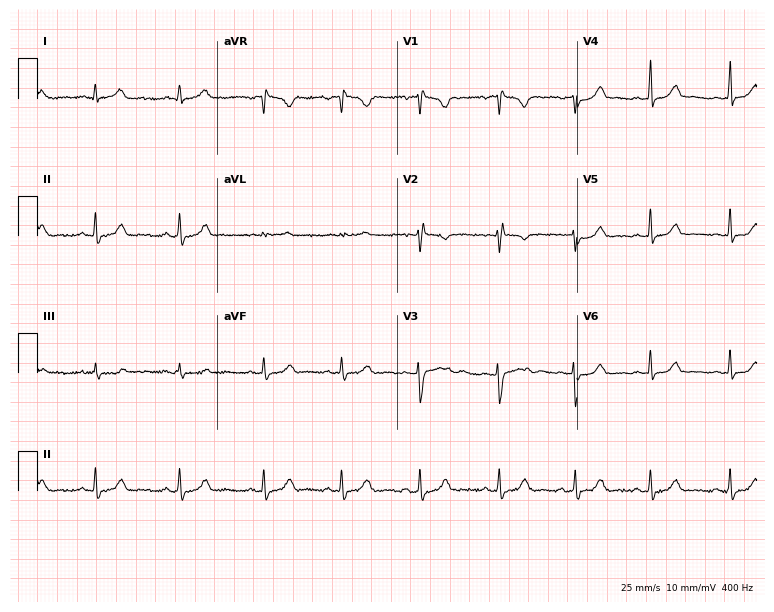
12-lead ECG from a woman, 17 years old. Screened for six findings — first-degree AV block, right bundle branch block, left bundle branch block, sinus bradycardia, atrial fibrillation, sinus tachycardia — none is recorded. Only these six findings were labelled.